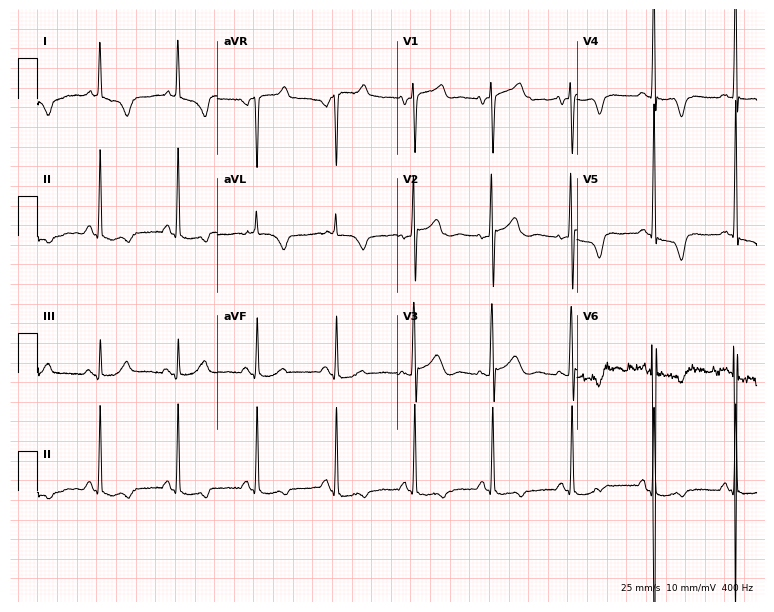
12-lead ECG from a 66-year-old man. Screened for six findings — first-degree AV block, right bundle branch block (RBBB), left bundle branch block (LBBB), sinus bradycardia, atrial fibrillation (AF), sinus tachycardia — none is recorded.